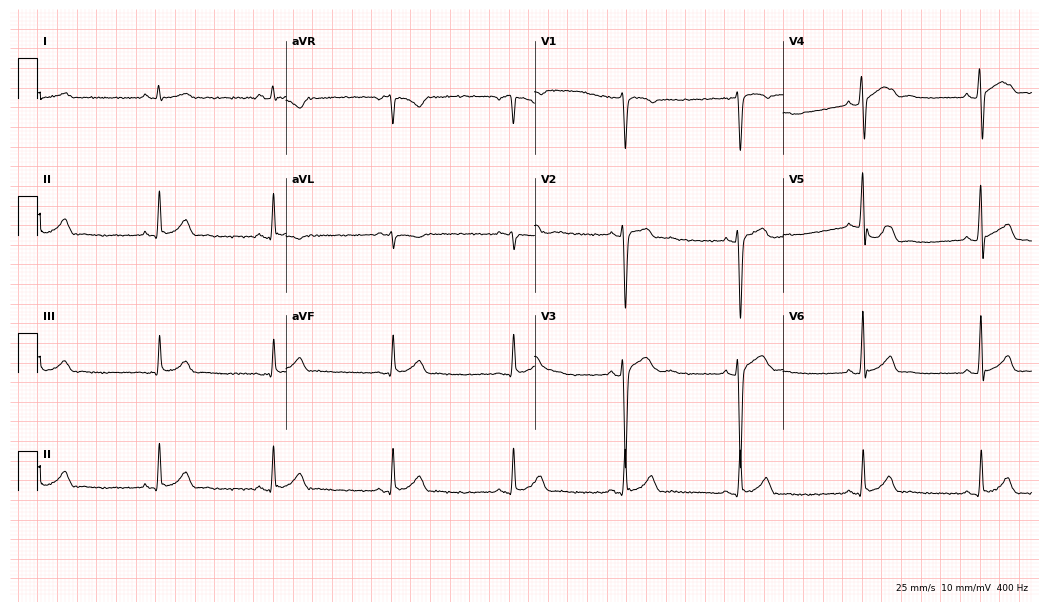
Standard 12-lead ECG recorded from a 35-year-old male (10.1-second recording at 400 Hz). None of these six findings is recorded: first-degree AV block, right bundle branch block (RBBB), left bundle branch block (LBBB), sinus bradycardia, atrial fibrillation (AF), sinus tachycardia.